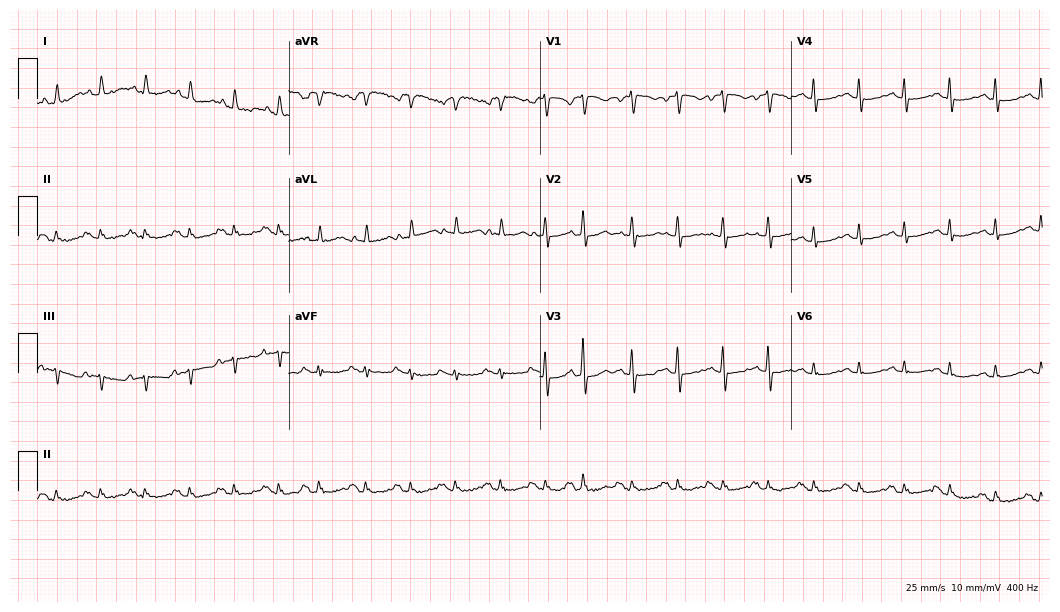
12-lead ECG from an 83-year-old female. Screened for six findings — first-degree AV block, right bundle branch block, left bundle branch block, sinus bradycardia, atrial fibrillation, sinus tachycardia — none is recorded.